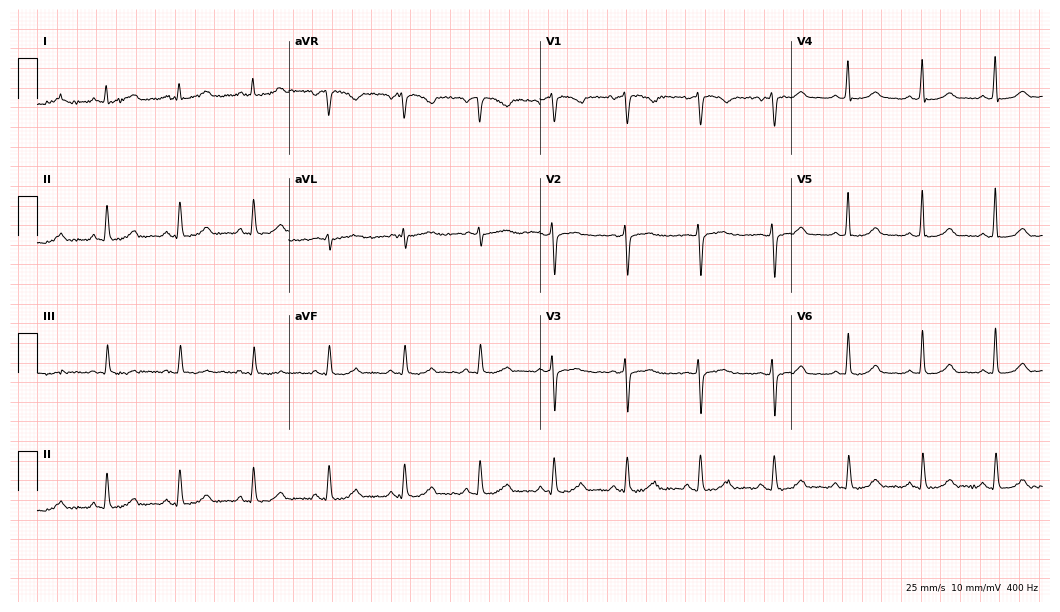
Electrocardiogram (10.2-second recording at 400 Hz), a 50-year-old female. Of the six screened findings (first-degree AV block, right bundle branch block (RBBB), left bundle branch block (LBBB), sinus bradycardia, atrial fibrillation (AF), sinus tachycardia), none is recorded. Other findings, if any, are not listed.